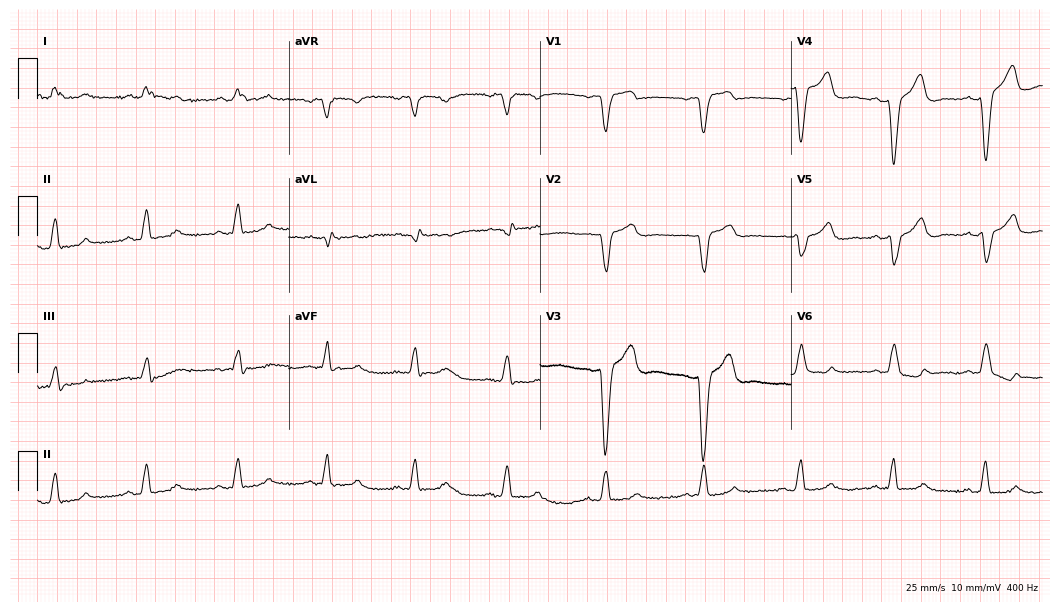
Electrocardiogram (10.2-second recording at 400 Hz), a woman, 63 years old. Interpretation includes left bundle branch block.